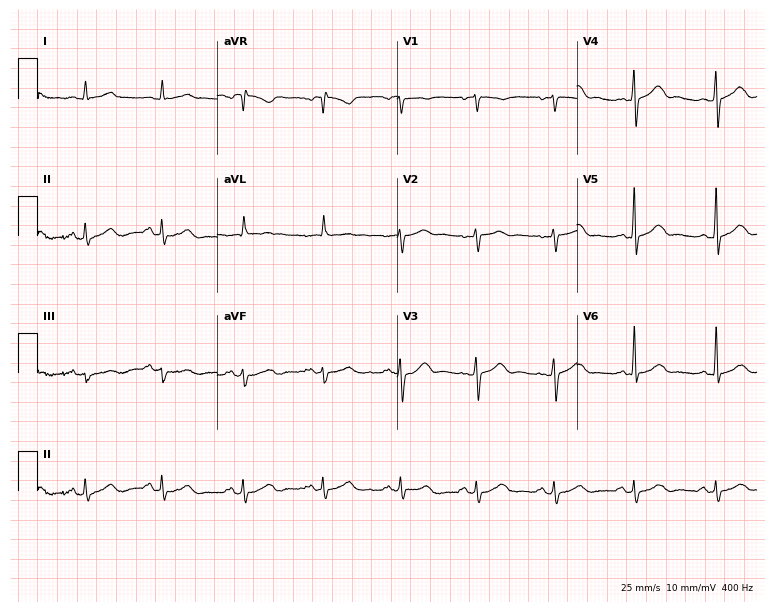
Resting 12-lead electrocardiogram (7.3-second recording at 400 Hz). Patient: a male, 67 years old. Read as a normal ECG.